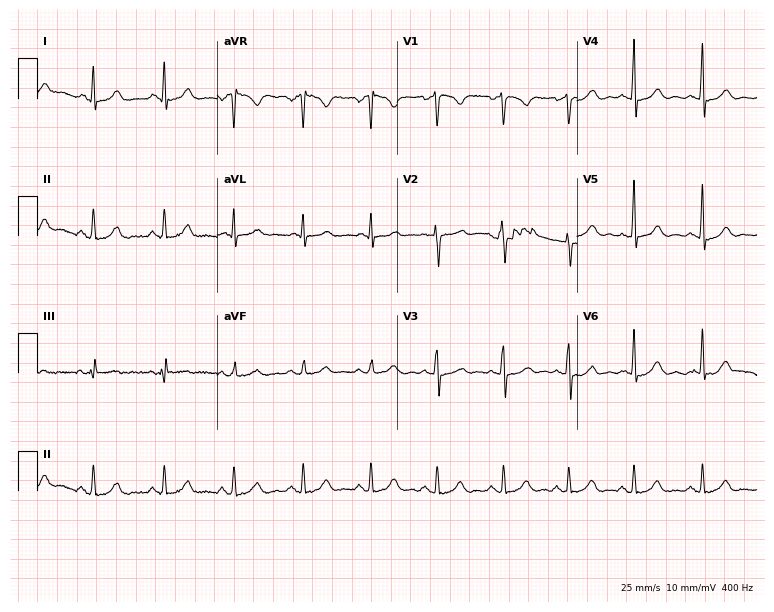
ECG — a 33-year-old man. Labelled as a normal ECG.